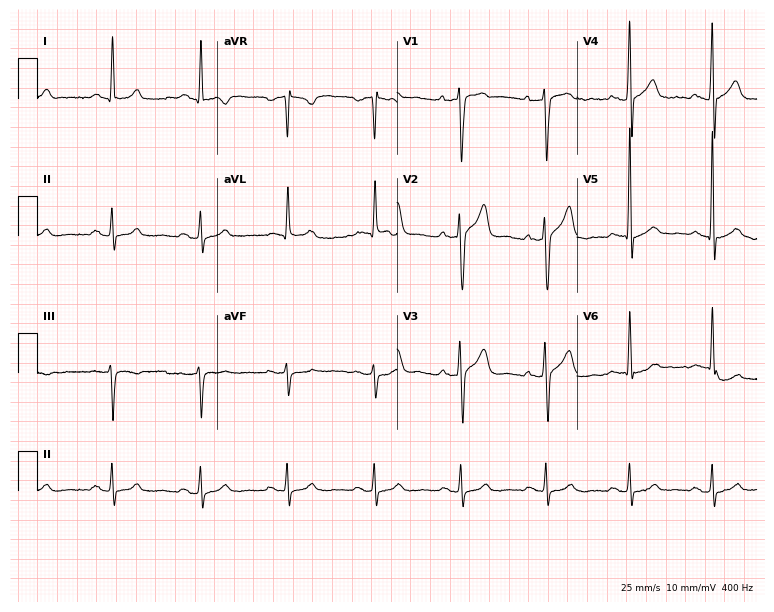
12-lead ECG from a male patient, 58 years old. Screened for six findings — first-degree AV block, right bundle branch block, left bundle branch block, sinus bradycardia, atrial fibrillation, sinus tachycardia — none is recorded. Only these six findings were labelled.